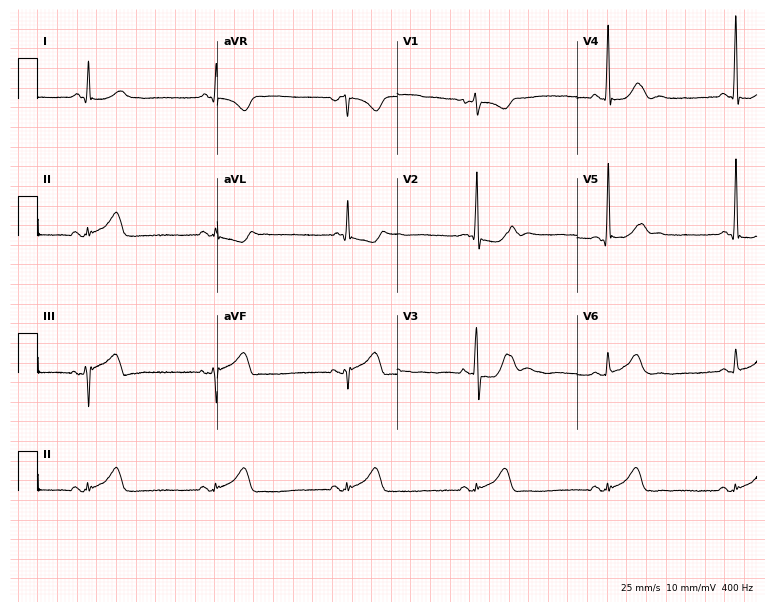
Resting 12-lead electrocardiogram. Patient: a 57-year-old man. The tracing shows sinus bradycardia (a sinus rate of 50 beats per minute or less).